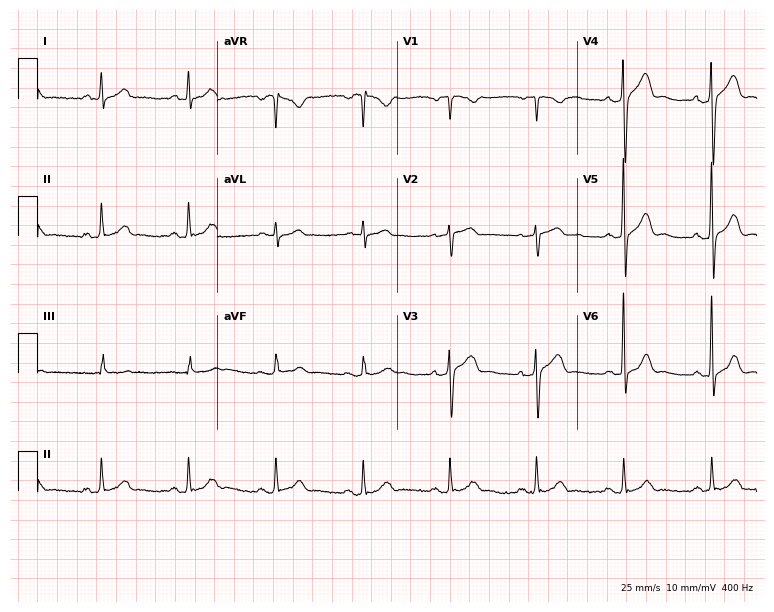
12-lead ECG from a male patient, 63 years old (7.3-second recording at 400 Hz). Recorded interpretation: within normal limits.